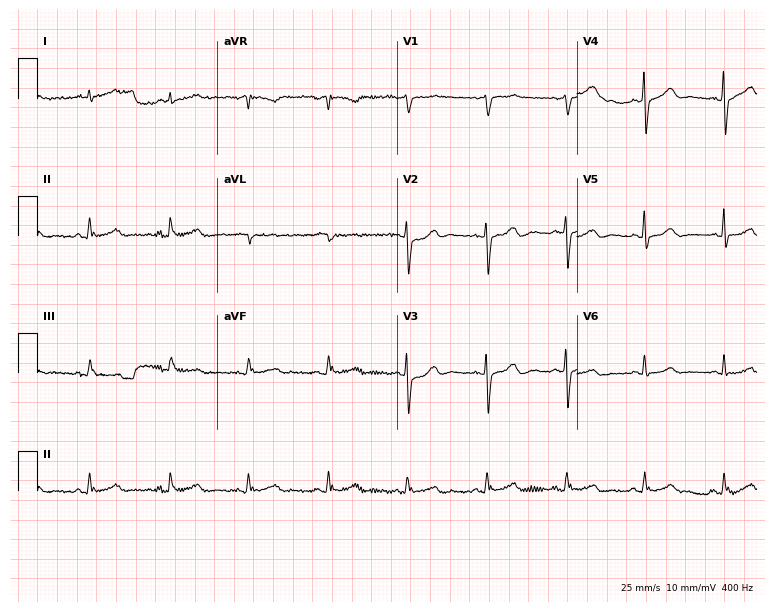
12-lead ECG from an 80-year-old male. Labelled as a normal ECG.